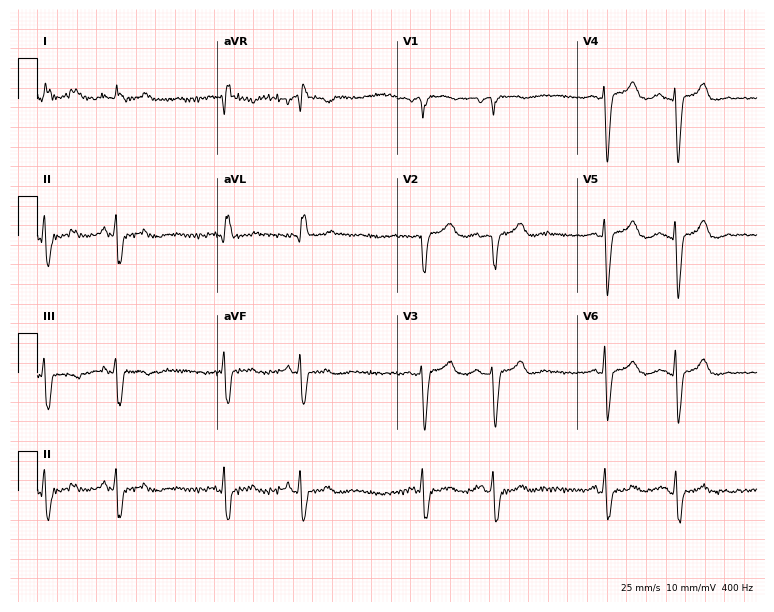
Standard 12-lead ECG recorded from a female patient, 83 years old (7.3-second recording at 400 Hz). None of these six findings is recorded: first-degree AV block, right bundle branch block, left bundle branch block, sinus bradycardia, atrial fibrillation, sinus tachycardia. Findings outside these six are not listed.